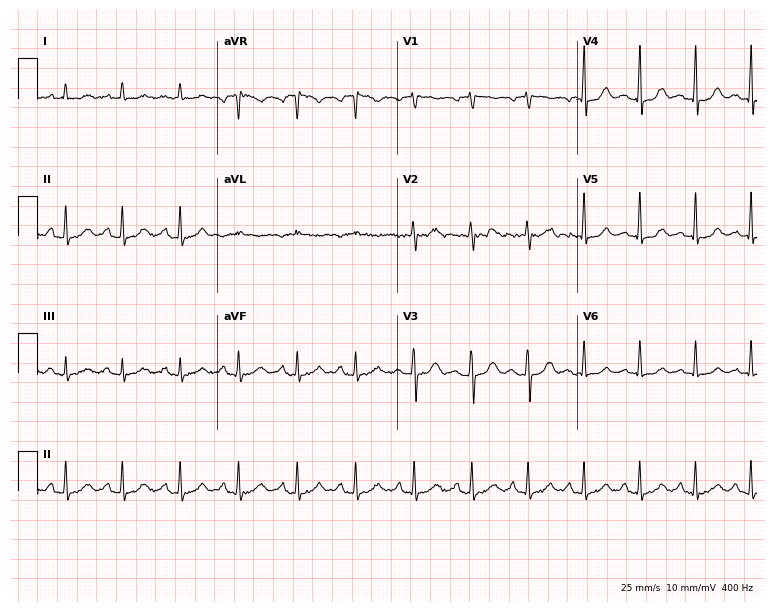
12-lead ECG from a female patient, 42 years old (7.3-second recording at 400 Hz). Shows sinus tachycardia (a sinus rate of 100 beats per minute or more).